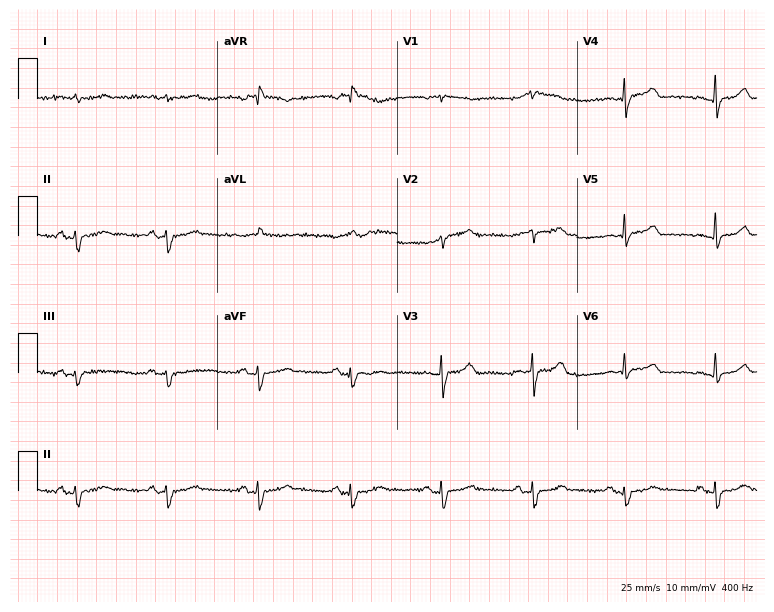
Standard 12-lead ECG recorded from a male, 80 years old (7.3-second recording at 400 Hz). None of these six findings is recorded: first-degree AV block, right bundle branch block, left bundle branch block, sinus bradycardia, atrial fibrillation, sinus tachycardia. Other findings, if any, are not listed.